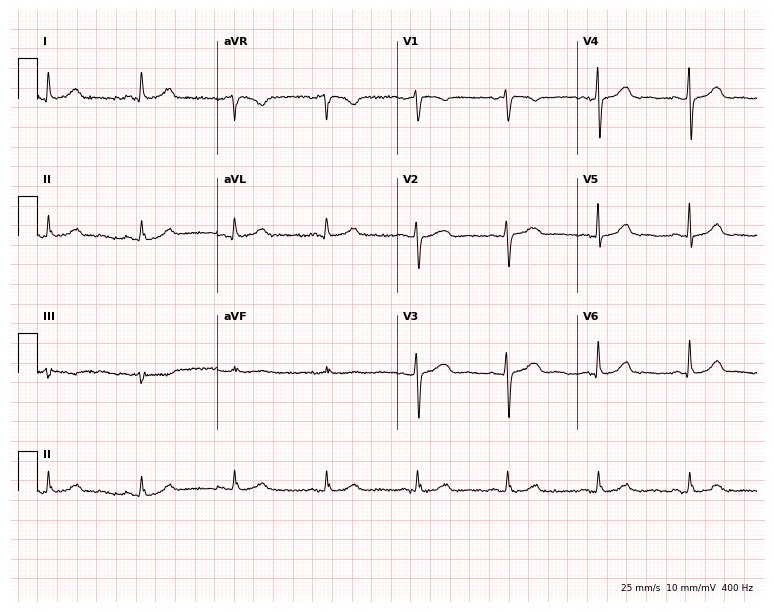
Resting 12-lead electrocardiogram. Patient: a female, 63 years old. Read as a normal ECG.